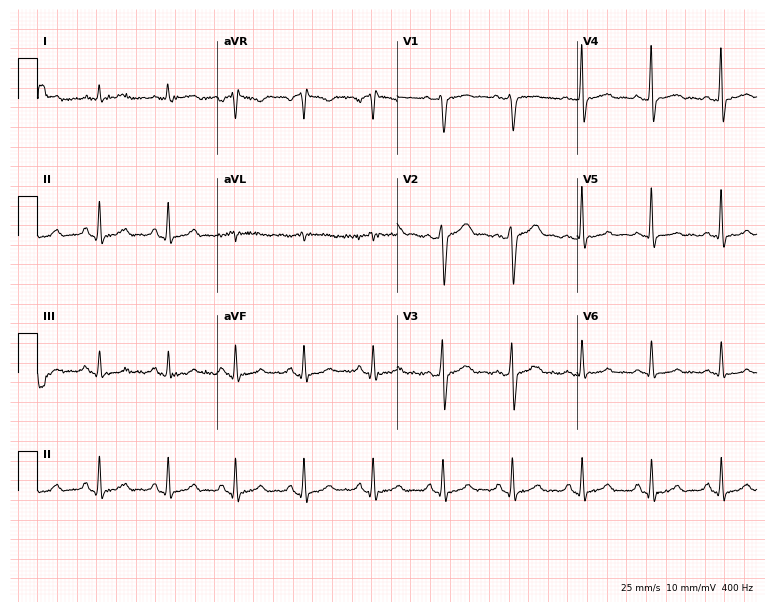
Standard 12-lead ECG recorded from a man, 60 years old. Read as a normal ECG.